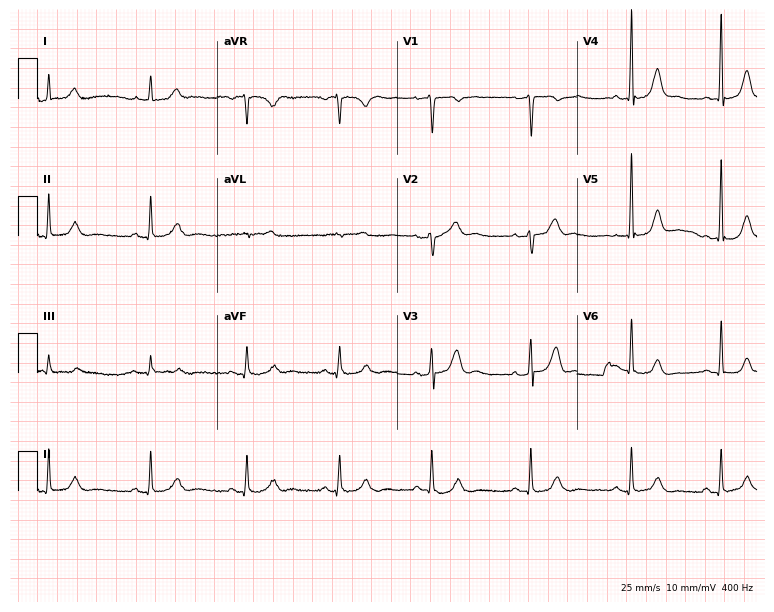
12-lead ECG from a 43-year-old man. Recorded interpretation: within normal limits.